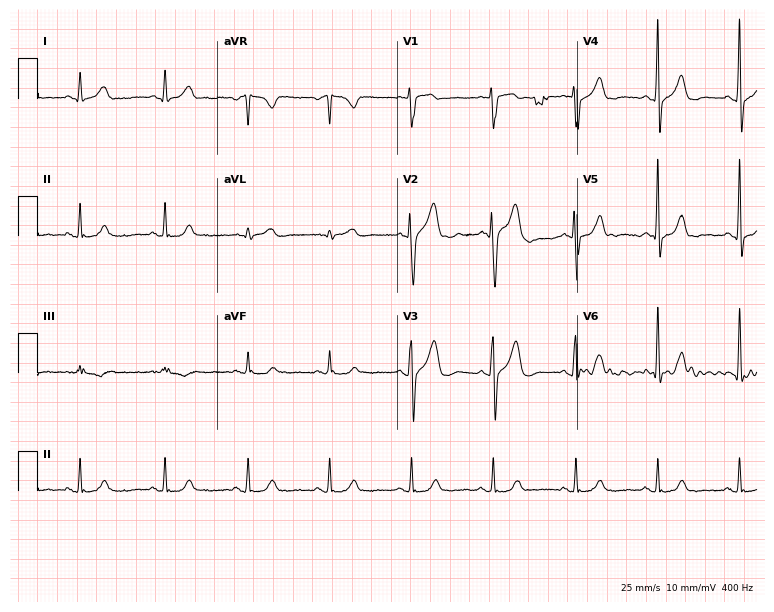
Electrocardiogram (7.3-second recording at 400 Hz), a man, 37 years old. Overall reading on record: normal ECG.